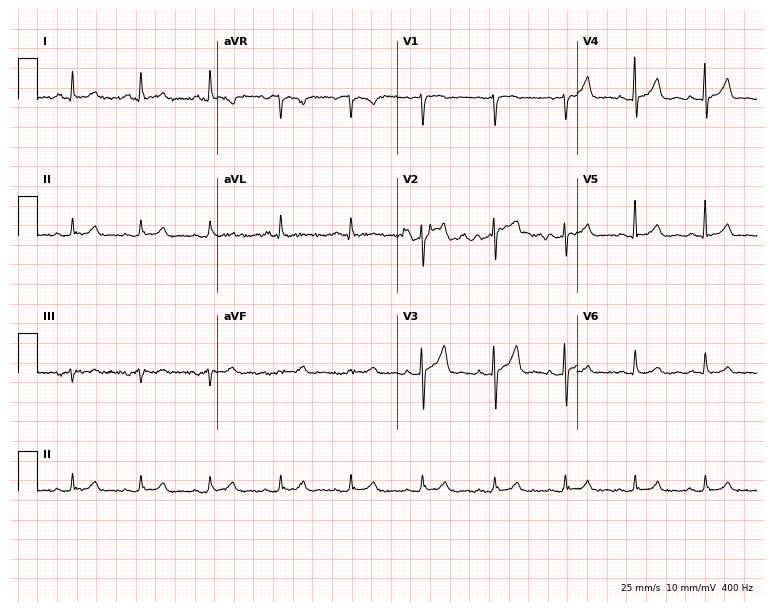
Standard 12-lead ECG recorded from a 67-year-old male patient (7.3-second recording at 400 Hz). None of these six findings is recorded: first-degree AV block, right bundle branch block, left bundle branch block, sinus bradycardia, atrial fibrillation, sinus tachycardia. Other findings, if any, are not listed.